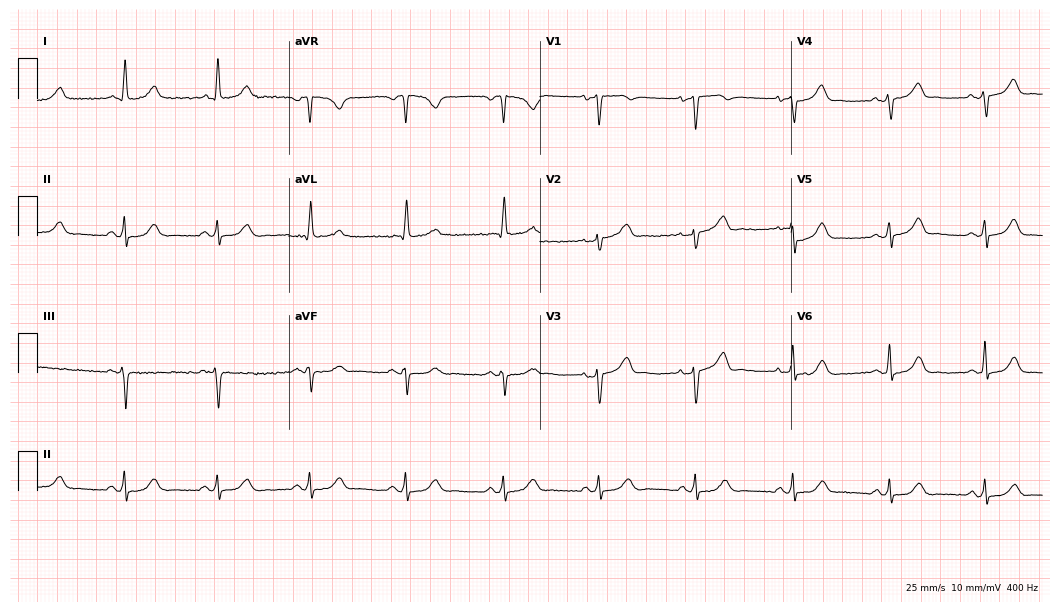
Standard 12-lead ECG recorded from a female, 58 years old (10.2-second recording at 400 Hz). None of these six findings is recorded: first-degree AV block, right bundle branch block (RBBB), left bundle branch block (LBBB), sinus bradycardia, atrial fibrillation (AF), sinus tachycardia. Other findings, if any, are not listed.